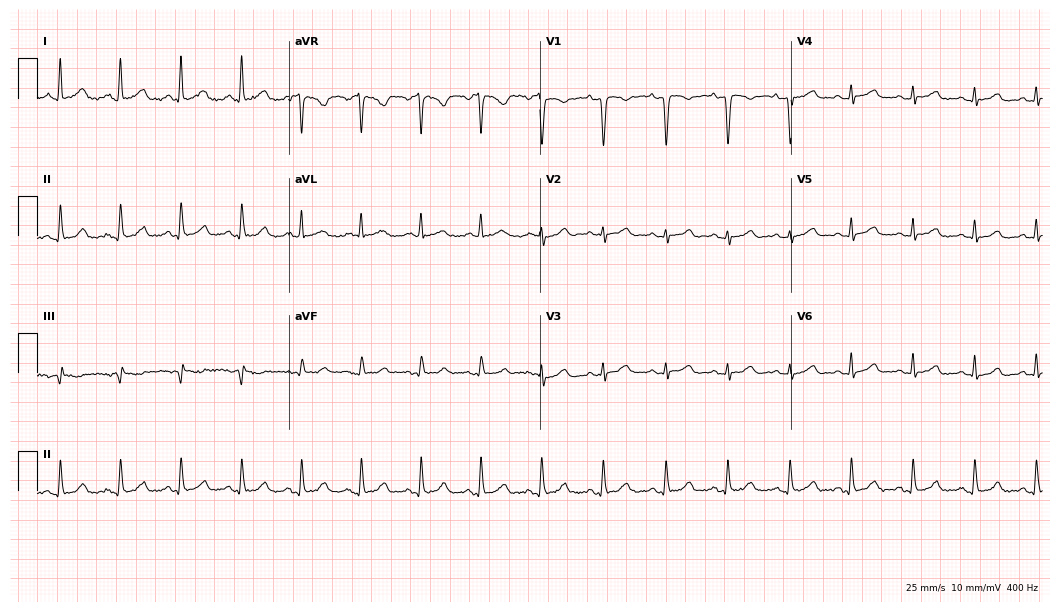
12-lead ECG (10.2-second recording at 400 Hz) from a 31-year-old female. Labelled as a normal ECG.